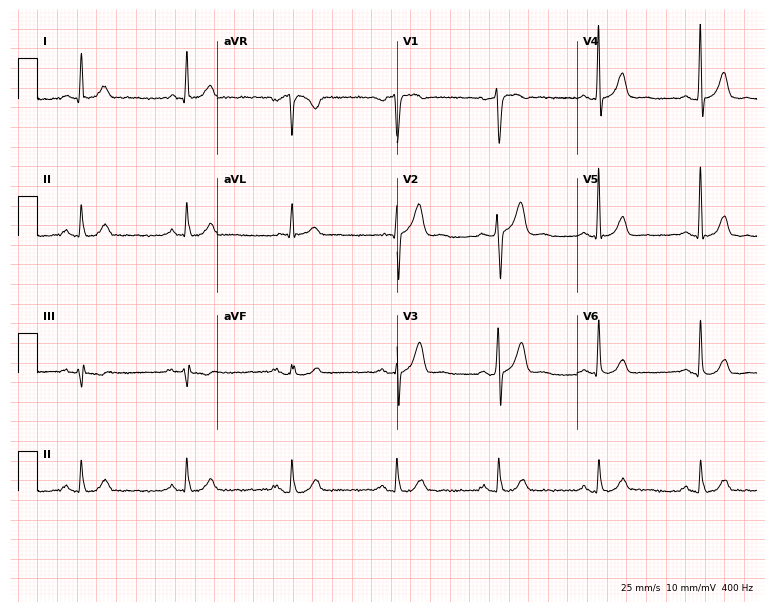
Electrocardiogram (7.3-second recording at 400 Hz), a male patient, 55 years old. Overall reading on record: normal ECG.